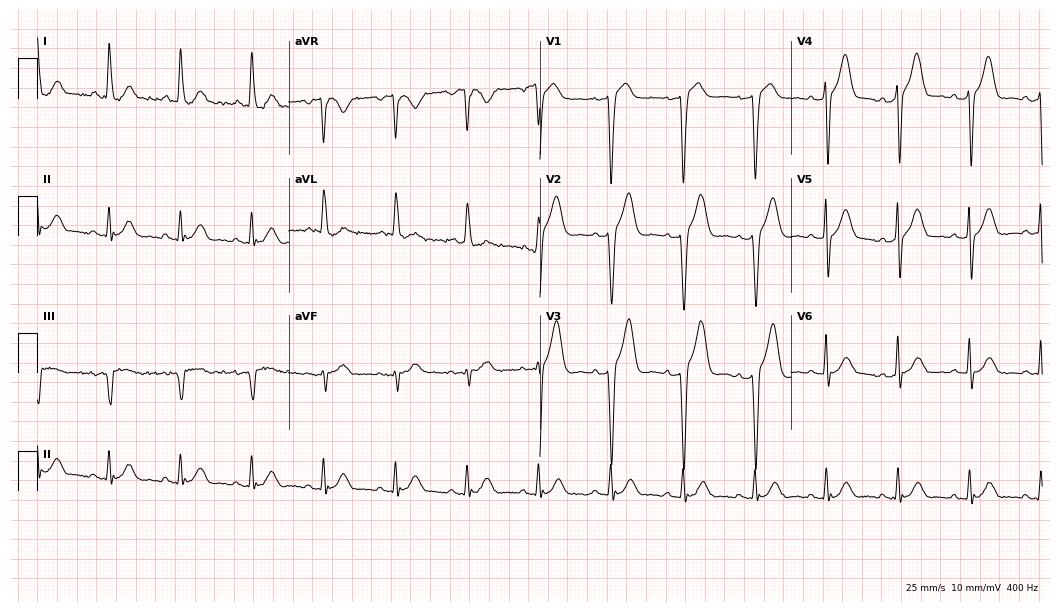
ECG — a woman, 78 years old. Screened for six findings — first-degree AV block, right bundle branch block, left bundle branch block, sinus bradycardia, atrial fibrillation, sinus tachycardia — none is recorded.